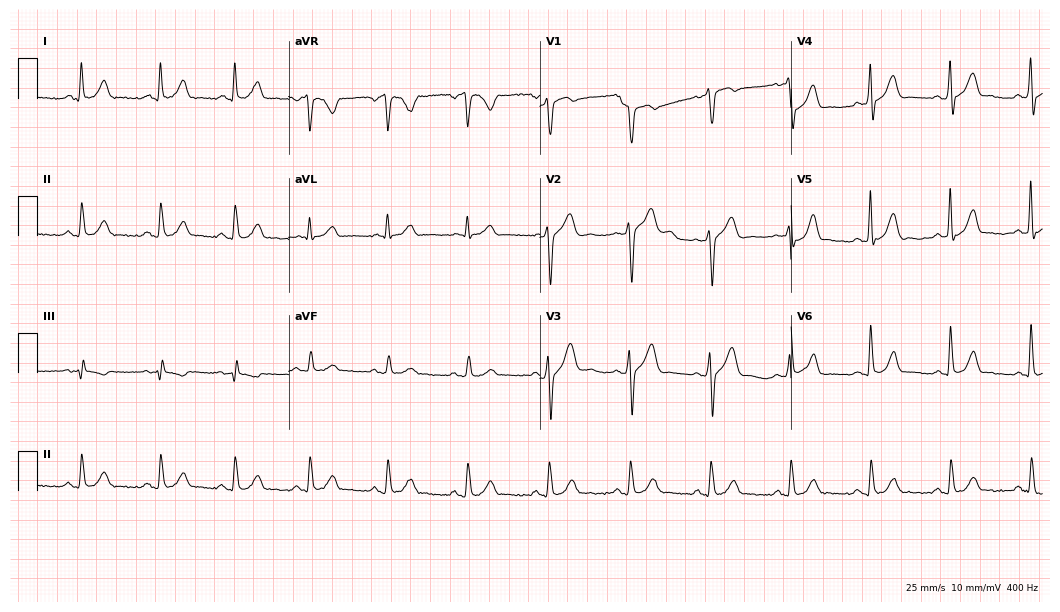
12-lead ECG (10.2-second recording at 400 Hz) from a 44-year-old male patient. Screened for six findings — first-degree AV block, right bundle branch block, left bundle branch block, sinus bradycardia, atrial fibrillation, sinus tachycardia — none is recorded.